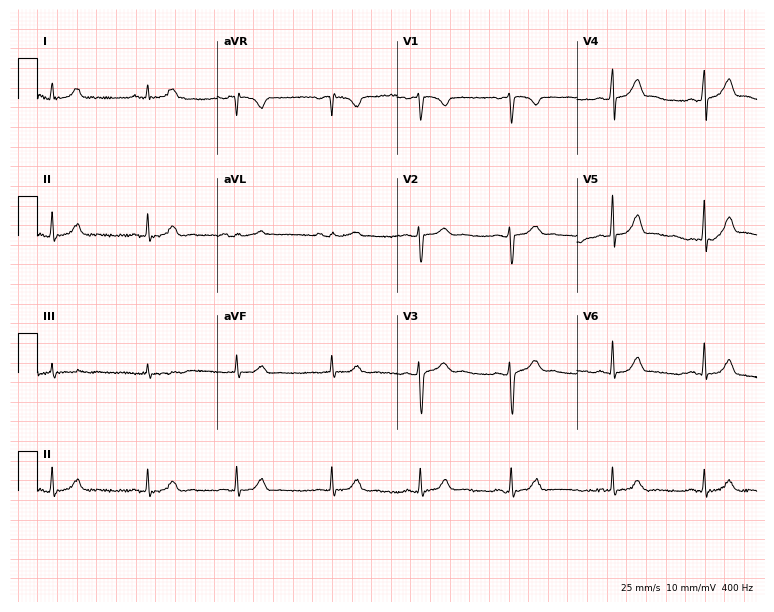
ECG (7.3-second recording at 400 Hz) — a female, 23 years old. Labelled as a normal ECG.